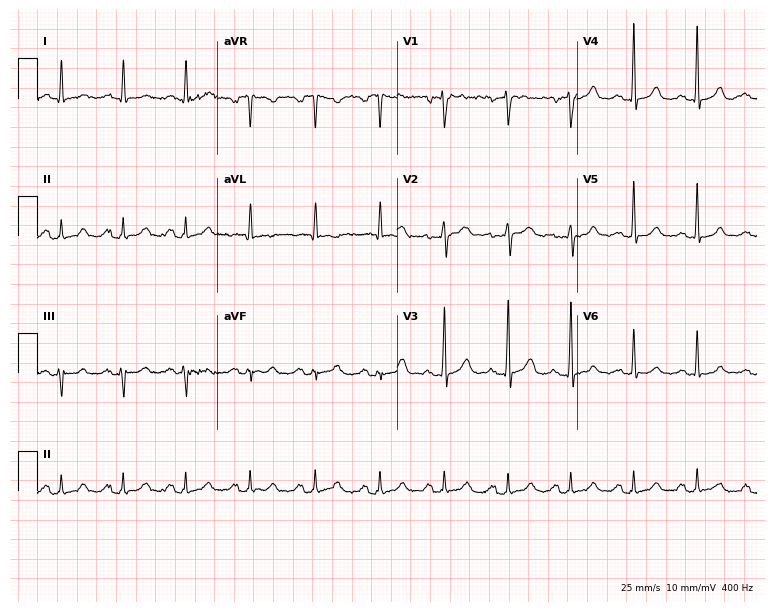
ECG (7.3-second recording at 400 Hz) — a 52-year-old woman. Screened for six findings — first-degree AV block, right bundle branch block (RBBB), left bundle branch block (LBBB), sinus bradycardia, atrial fibrillation (AF), sinus tachycardia — none is recorded. Findings outside these six are not listed.